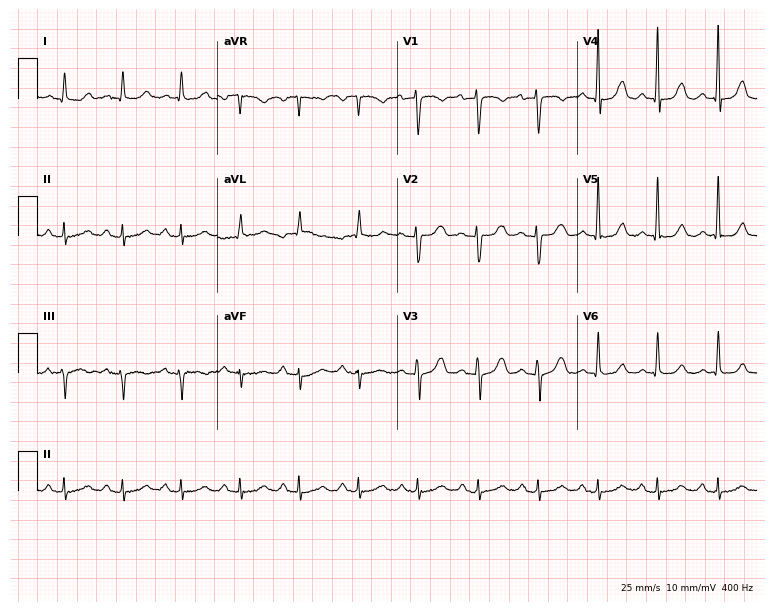
Standard 12-lead ECG recorded from a 75-year-old woman (7.3-second recording at 400 Hz). Read as a normal ECG.